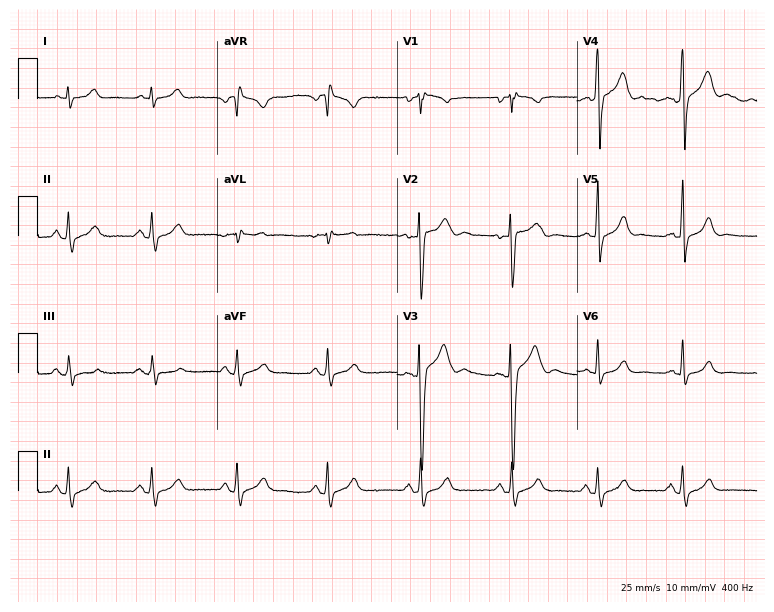
Electrocardiogram, a male patient, 22 years old. Overall reading on record: normal ECG.